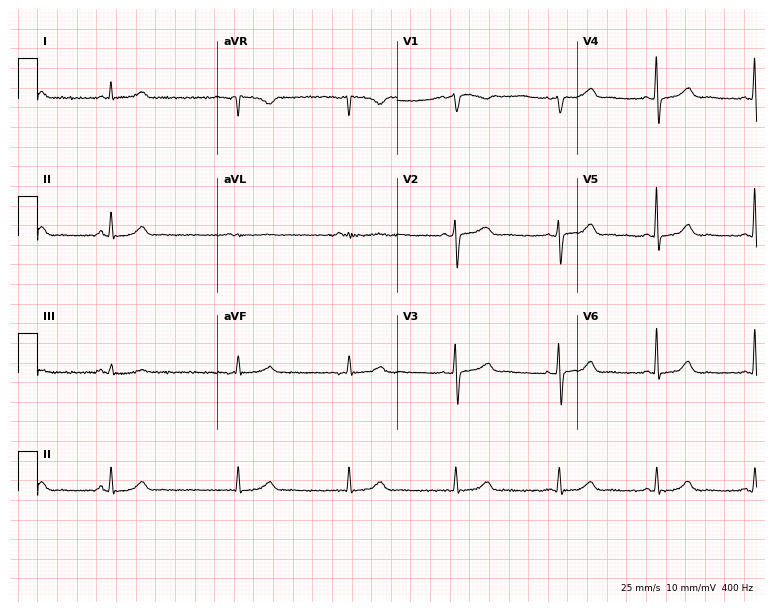
Standard 12-lead ECG recorded from a 43-year-old female. Read as a normal ECG.